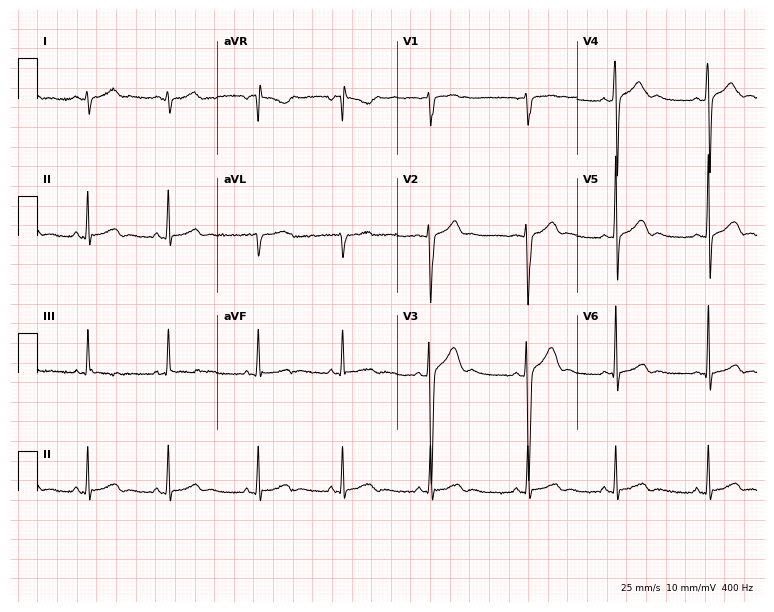
Standard 12-lead ECG recorded from a 19-year-old male patient (7.3-second recording at 400 Hz). None of these six findings is recorded: first-degree AV block, right bundle branch block, left bundle branch block, sinus bradycardia, atrial fibrillation, sinus tachycardia.